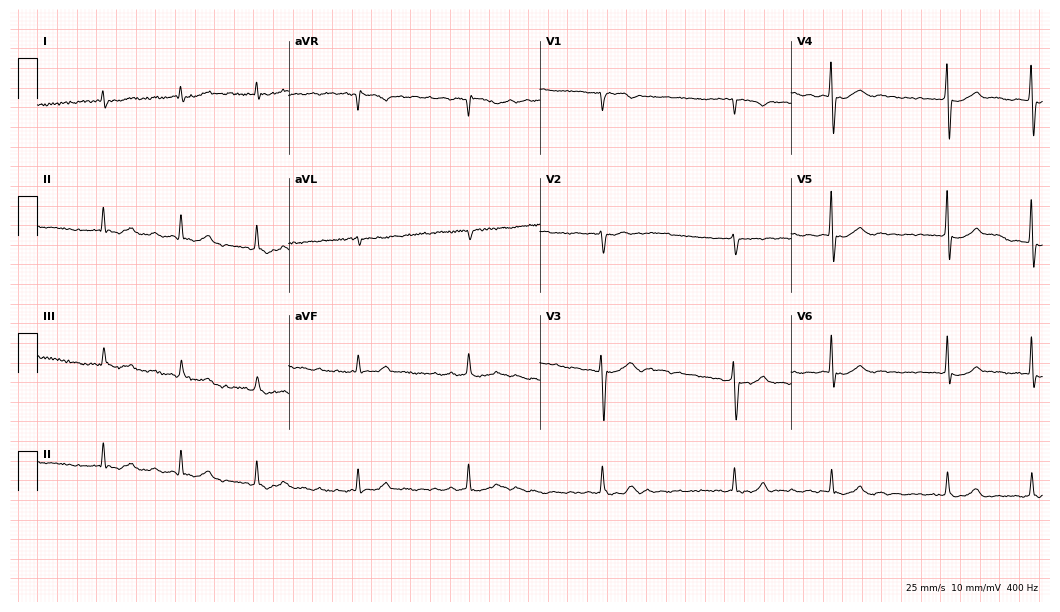
12-lead ECG from a 78-year-old male. Findings include atrial fibrillation (AF).